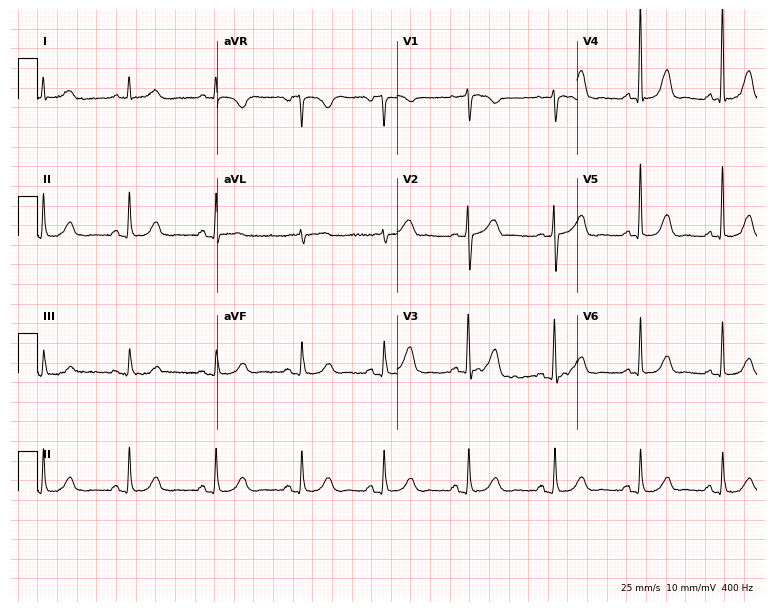
Electrocardiogram (7.3-second recording at 400 Hz), a female, 74 years old. Overall reading on record: normal ECG.